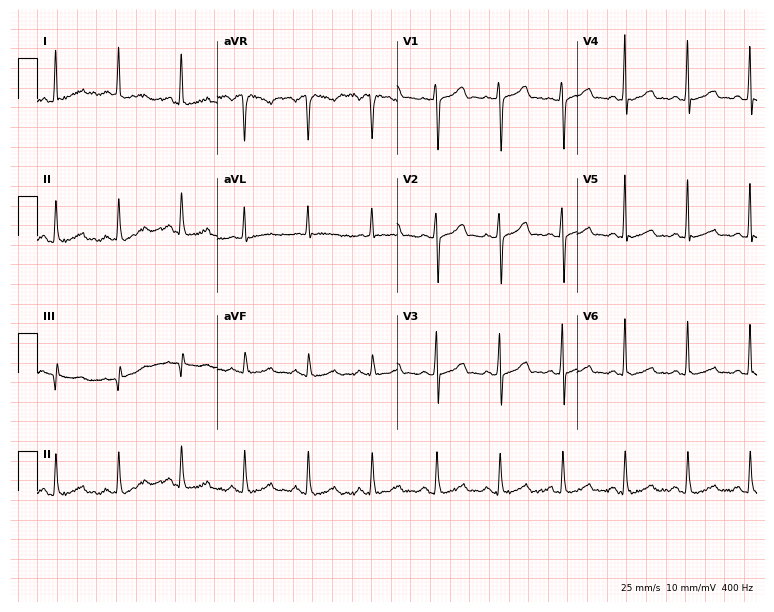
12-lead ECG from a woman, 49 years old. No first-degree AV block, right bundle branch block, left bundle branch block, sinus bradycardia, atrial fibrillation or sinus tachycardia recorded for this tracing. Only these six findings were labelled.